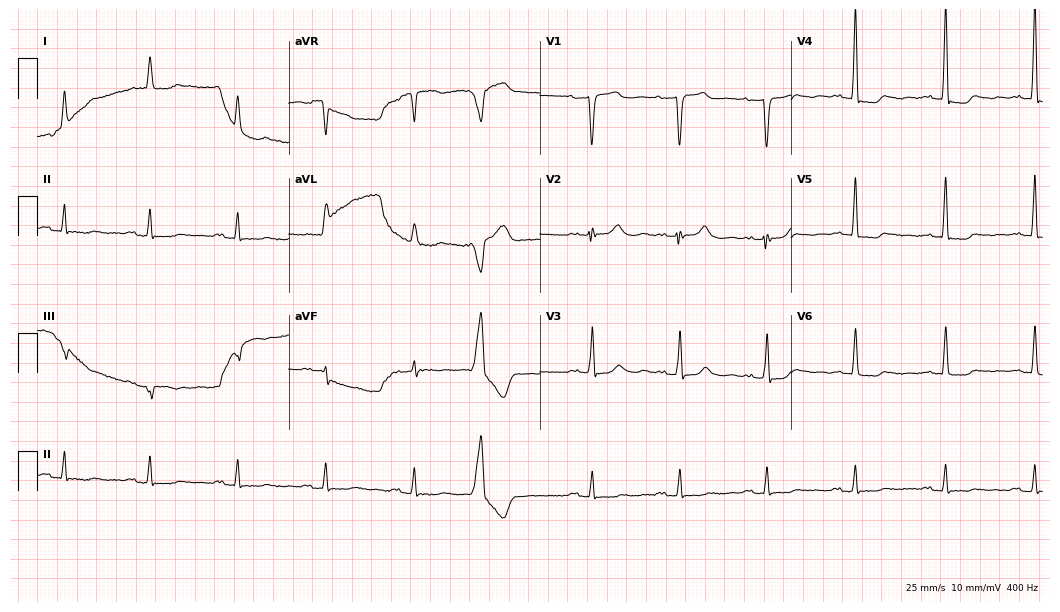
Standard 12-lead ECG recorded from an 81-year-old male patient. None of these six findings is recorded: first-degree AV block, right bundle branch block, left bundle branch block, sinus bradycardia, atrial fibrillation, sinus tachycardia. Findings outside these six are not listed.